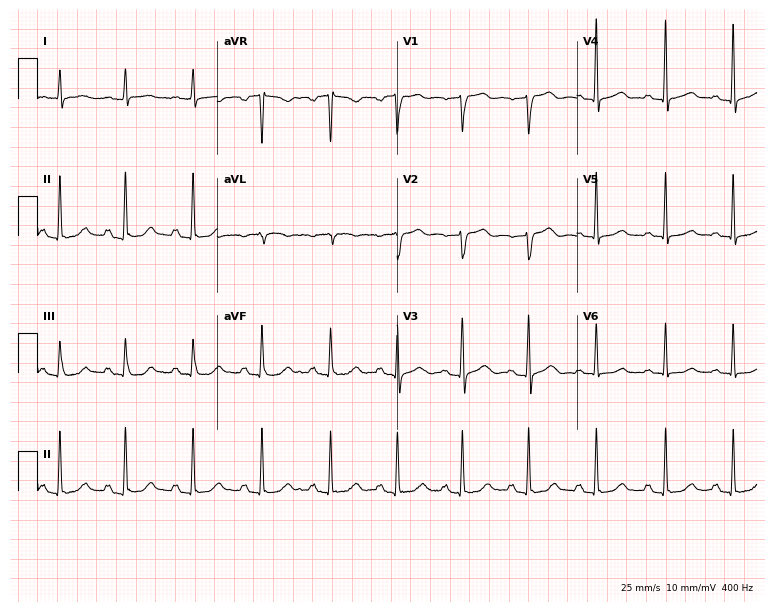
Standard 12-lead ECG recorded from a 68-year-old female patient (7.3-second recording at 400 Hz). Read as a normal ECG.